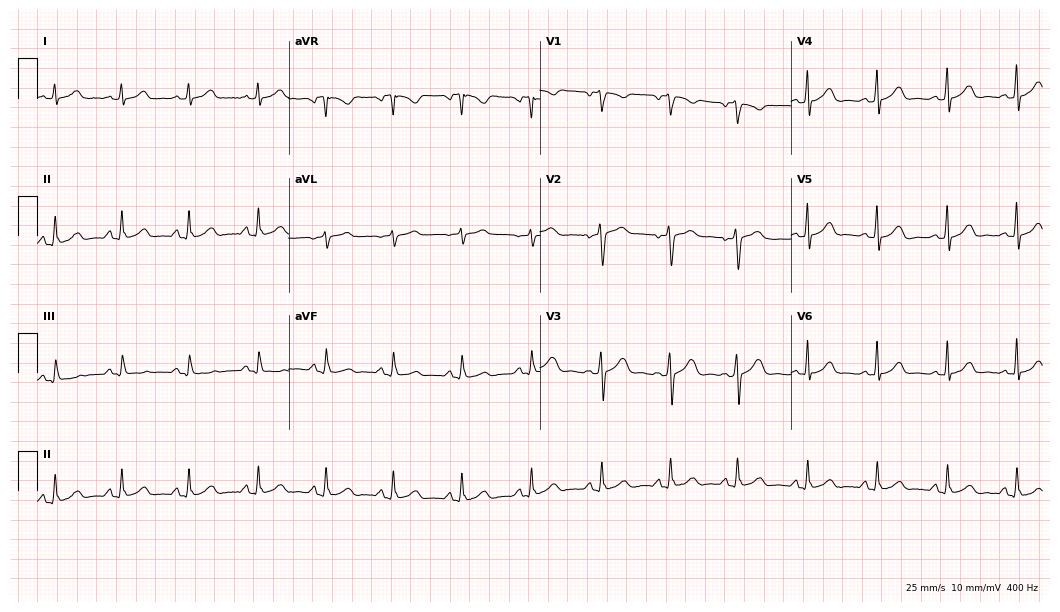
Electrocardiogram (10.2-second recording at 400 Hz), a 41-year-old female. Overall reading on record: normal ECG.